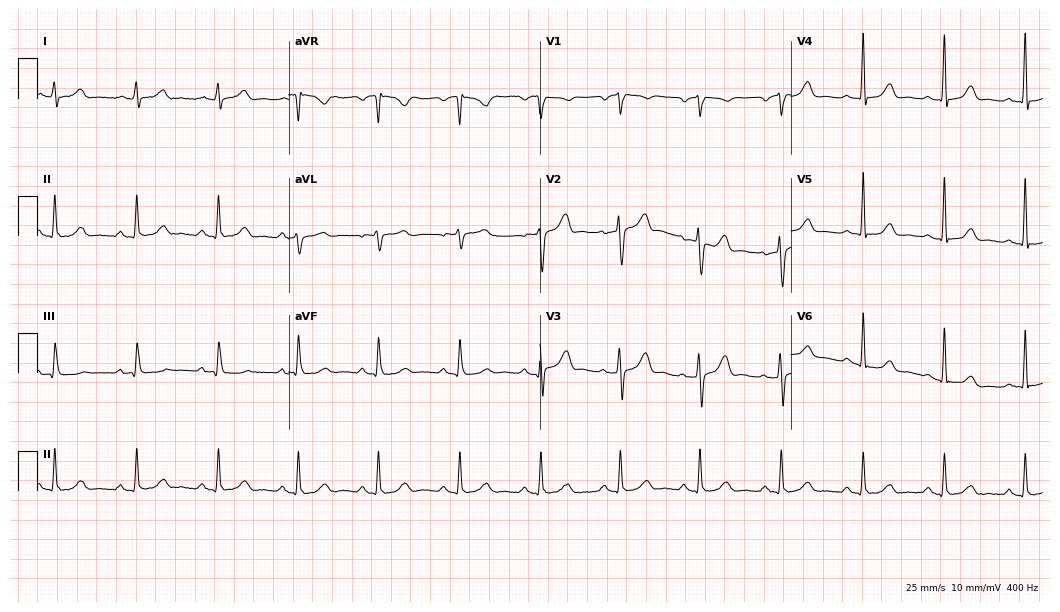
Standard 12-lead ECG recorded from a 60-year-old man. Read as a normal ECG.